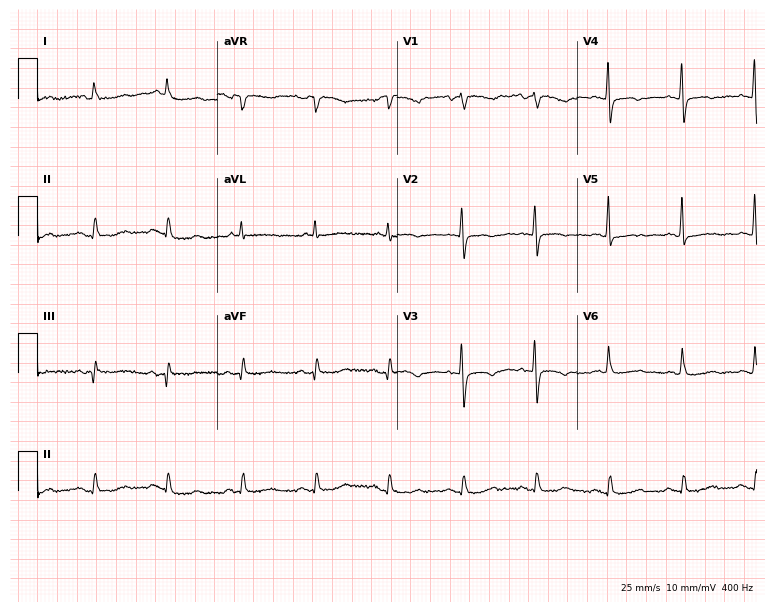
Electrocardiogram, a 79-year-old female patient. Overall reading on record: normal ECG.